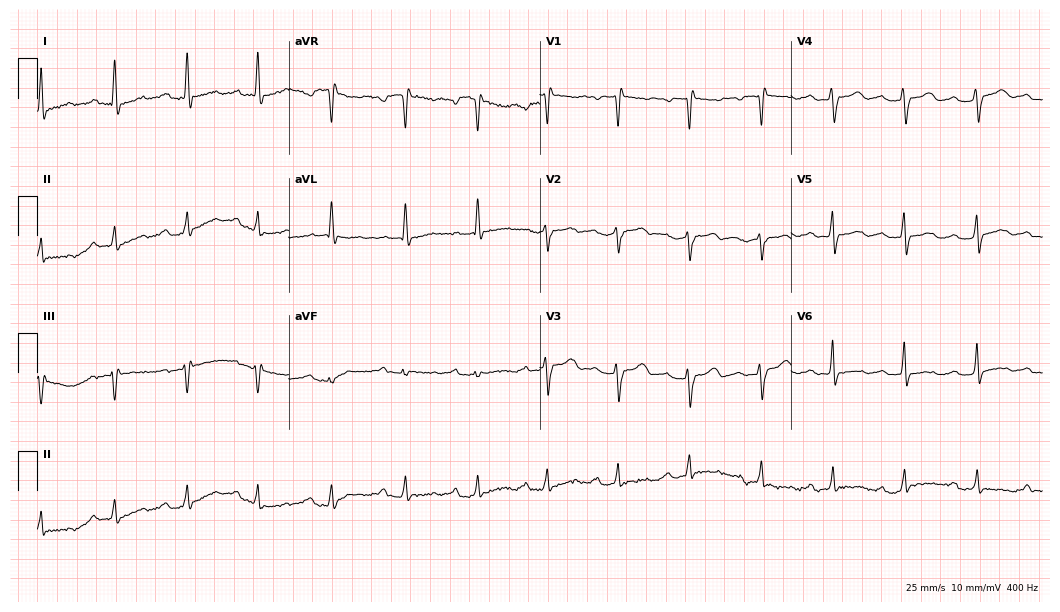
Electrocardiogram (10.2-second recording at 400 Hz), a 34-year-old female. Interpretation includes first-degree AV block.